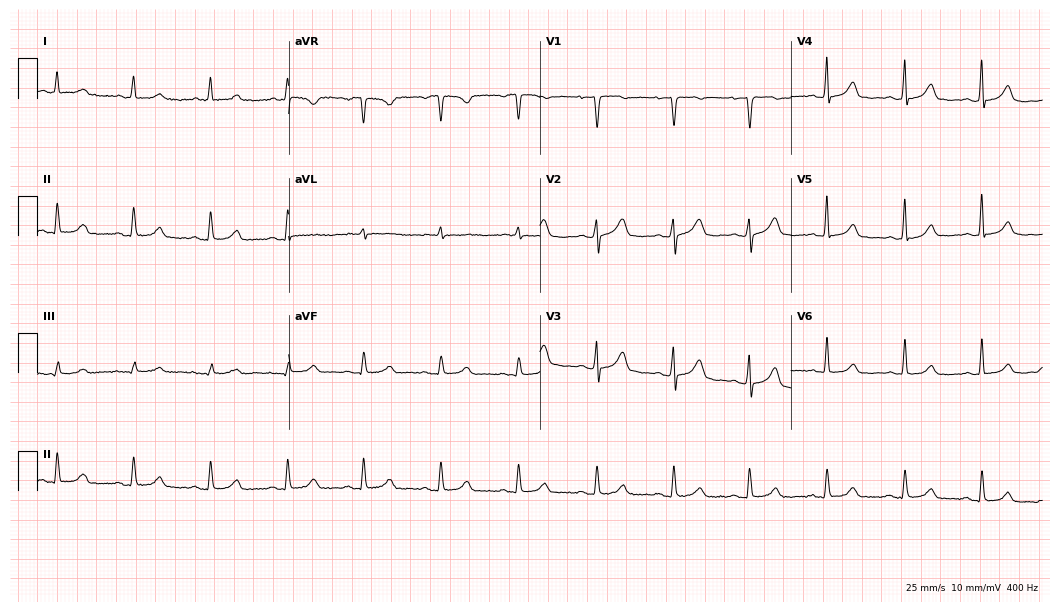
12-lead ECG from a 64-year-old female patient. Labelled as a normal ECG.